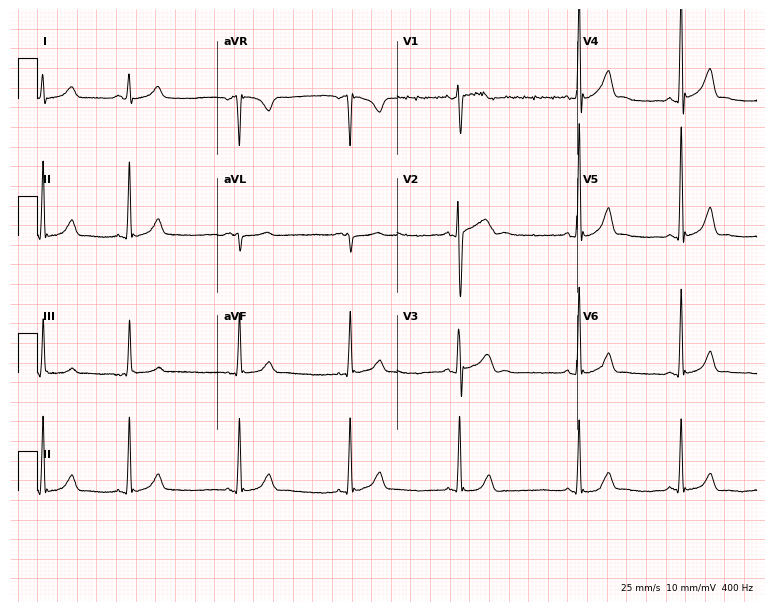
12-lead ECG from a male patient, 25 years old (7.3-second recording at 400 Hz). Recorded interpretation: within normal limits.